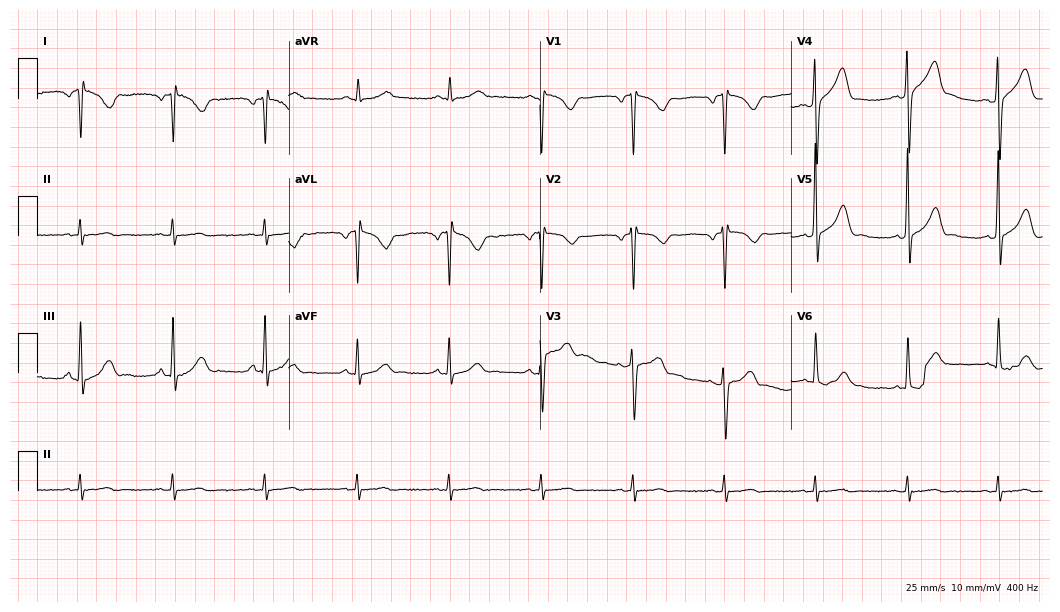
ECG — a woman, 83 years old. Screened for six findings — first-degree AV block, right bundle branch block, left bundle branch block, sinus bradycardia, atrial fibrillation, sinus tachycardia — none is recorded.